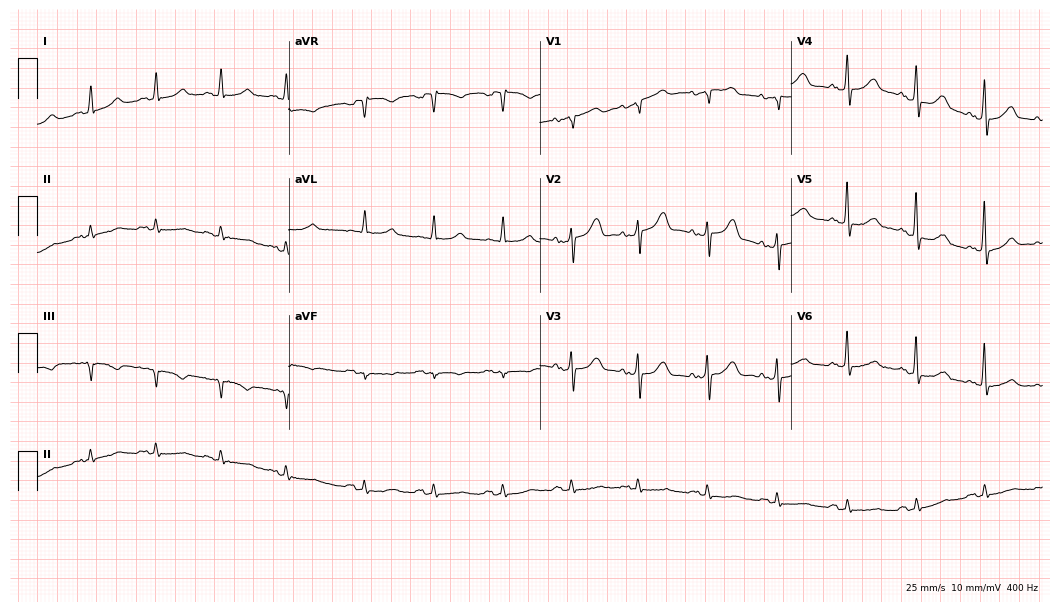
Standard 12-lead ECG recorded from a 79-year-old male patient (10.2-second recording at 400 Hz). Read as a normal ECG.